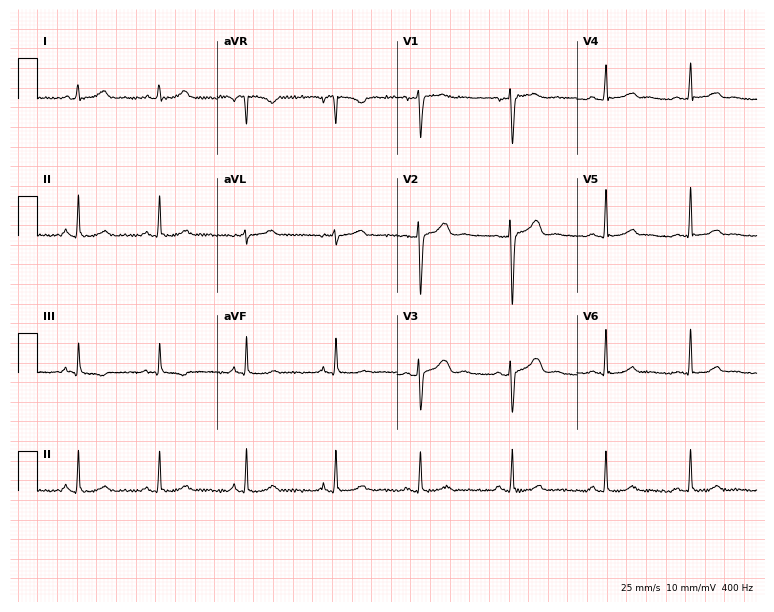
ECG — a 25-year-old female patient. Screened for six findings — first-degree AV block, right bundle branch block, left bundle branch block, sinus bradycardia, atrial fibrillation, sinus tachycardia — none is recorded. Findings outside these six are not listed.